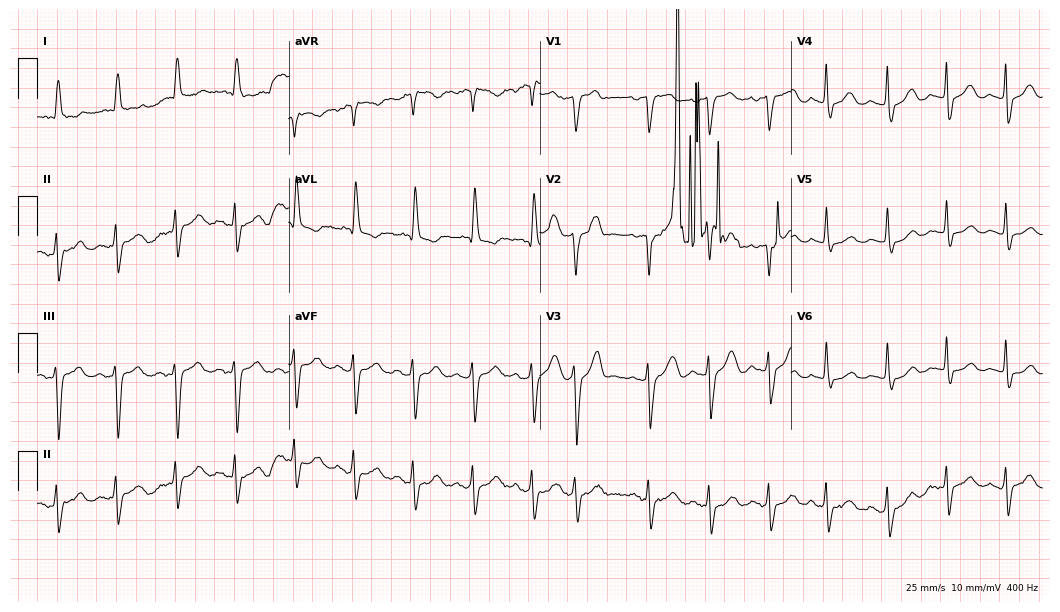
Standard 12-lead ECG recorded from a woman, 82 years old (10.2-second recording at 400 Hz). None of these six findings is recorded: first-degree AV block, right bundle branch block, left bundle branch block, sinus bradycardia, atrial fibrillation, sinus tachycardia. Findings outside these six are not listed.